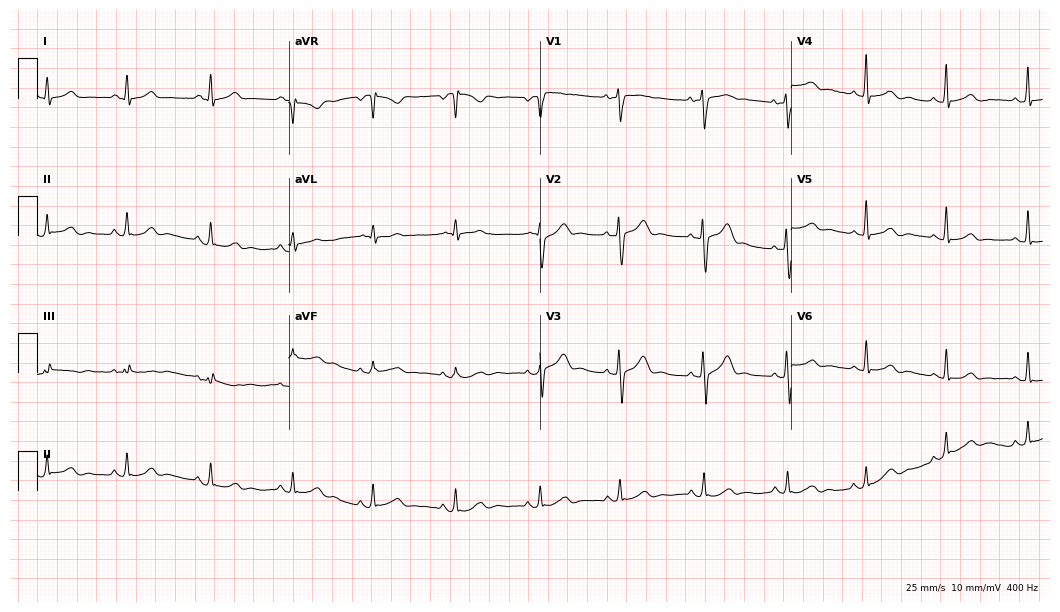
Electrocardiogram, a 42-year-old female. Overall reading on record: normal ECG.